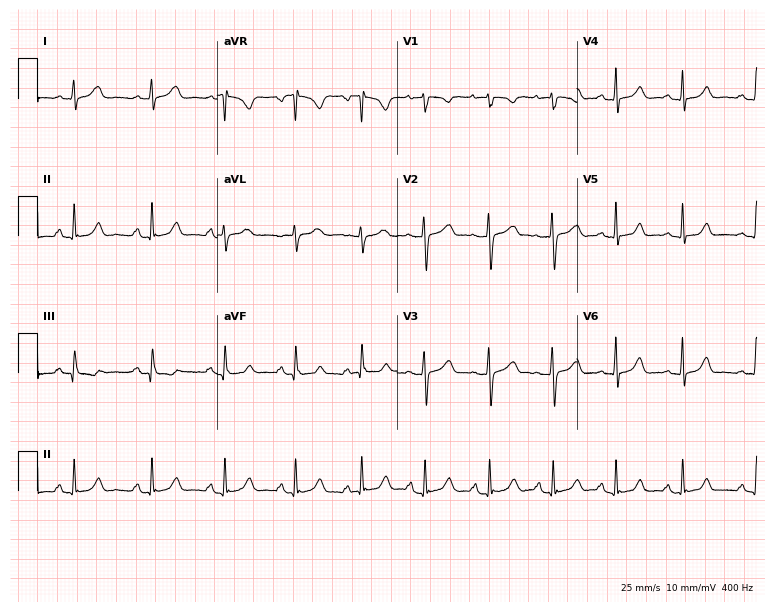
Electrocardiogram, a female patient, 28 years old. Overall reading on record: normal ECG.